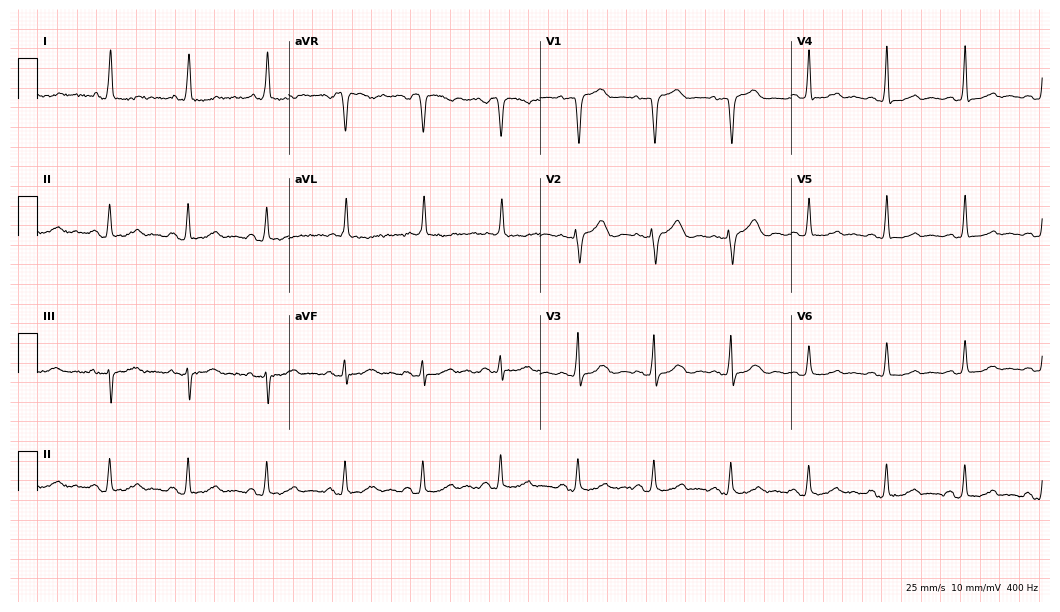
ECG — a female patient, 76 years old. Screened for six findings — first-degree AV block, right bundle branch block (RBBB), left bundle branch block (LBBB), sinus bradycardia, atrial fibrillation (AF), sinus tachycardia — none is recorded. Only these six findings were labelled.